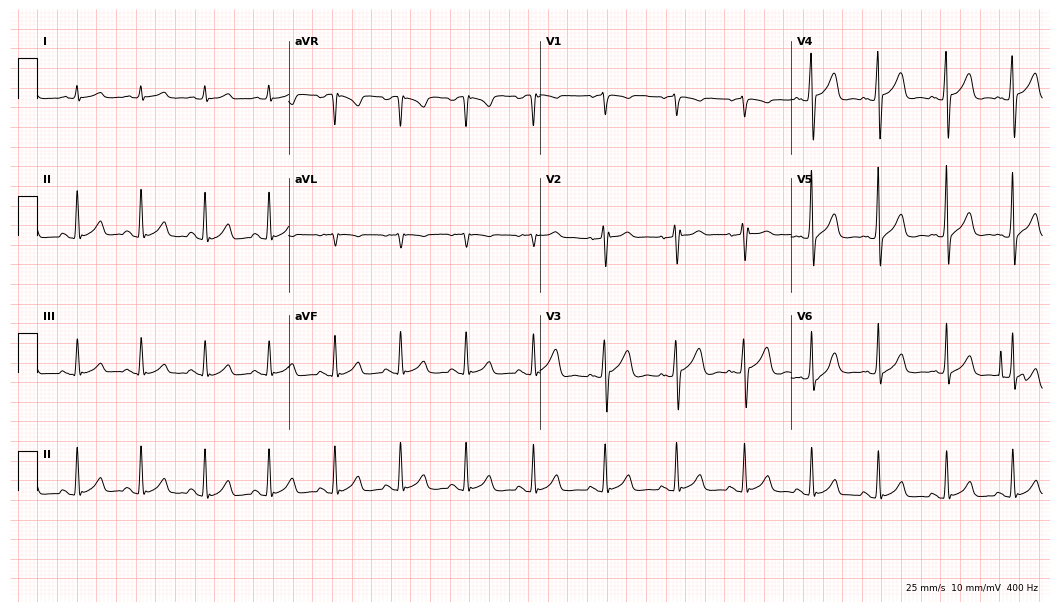
Standard 12-lead ECG recorded from a 53-year-old man (10.2-second recording at 400 Hz). Read as a normal ECG.